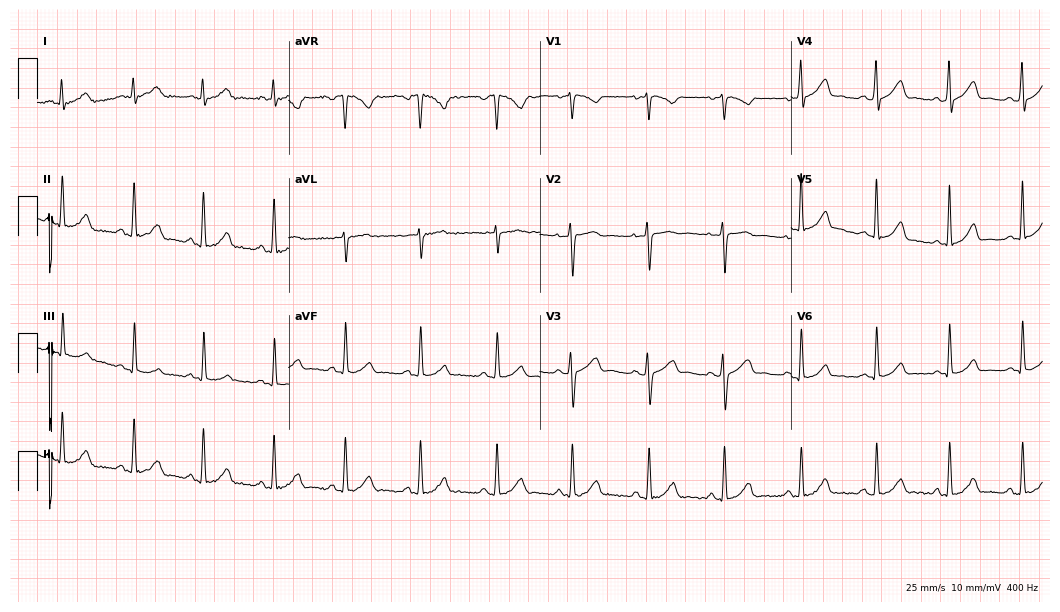
ECG — a 21-year-old female. Labelled as a normal ECG.